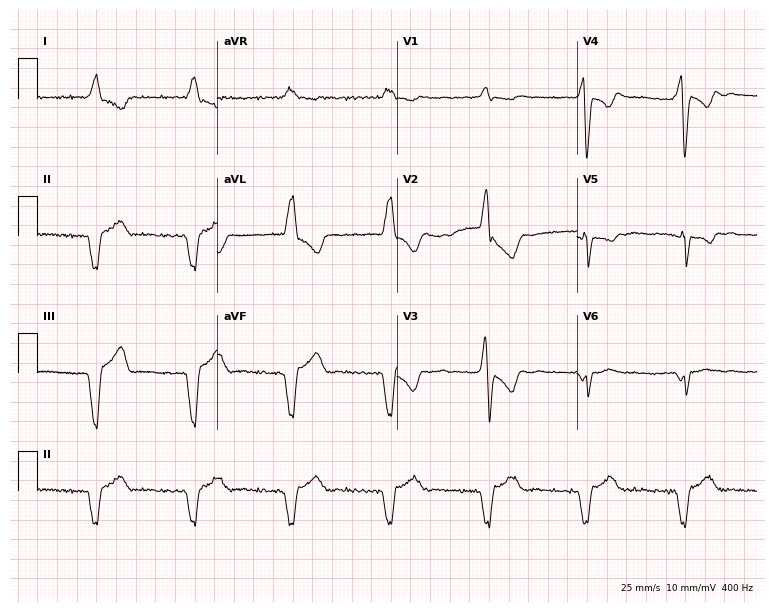
Resting 12-lead electrocardiogram (7.3-second recording at 400 Hz). Patient: a male, 77 years old. None of these six findings is recorded: first-degree AV block, right bundle branch block, left bundle branch block, sinus bradycardia, atrial fibrillation, sinus tachycardia. Other findings, if any, are not listed.